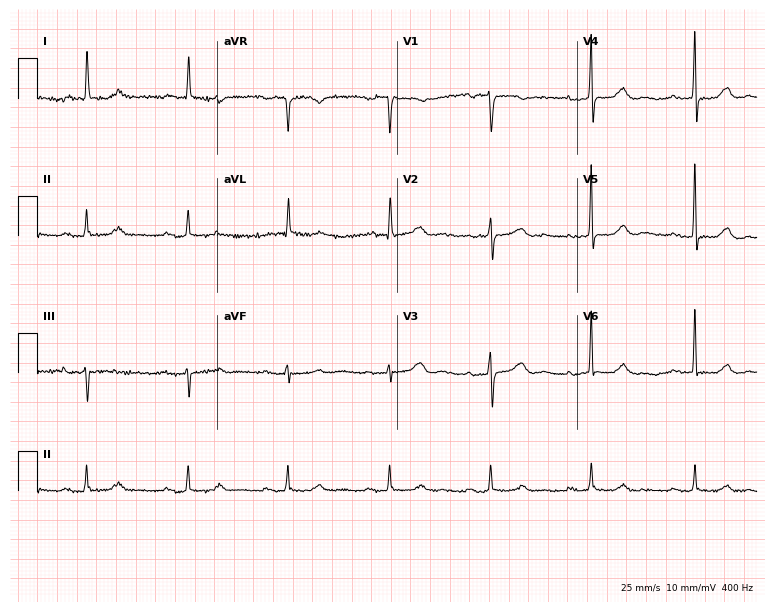
Electrocardiogram (7.3-second recording at 400 Hz), a 78-year-old female patient. Interpretation includes first-degree AV block.